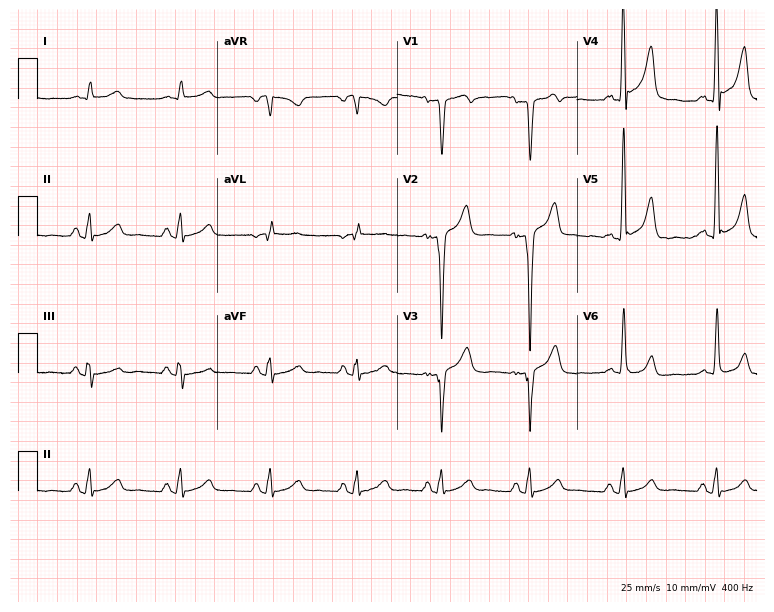
ECG — a 68-year-old male. Screened for six findings — first-degree AV block, right bundle branch block, left bundle branch block, sinus bradycardia, atrial fibrillation, sinus tachycardia — none is recorded. Findings outside these six are not listed.